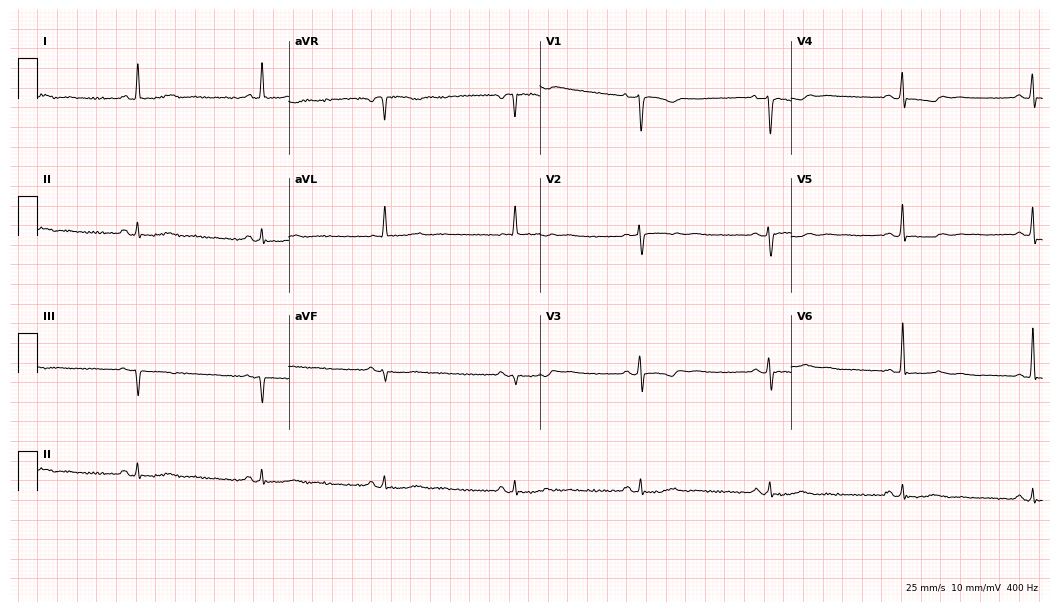
12-lead ECG from a 57-year-old woman. Shows sinus bradycardia (a sinus rate of 50 beats per minute or less).